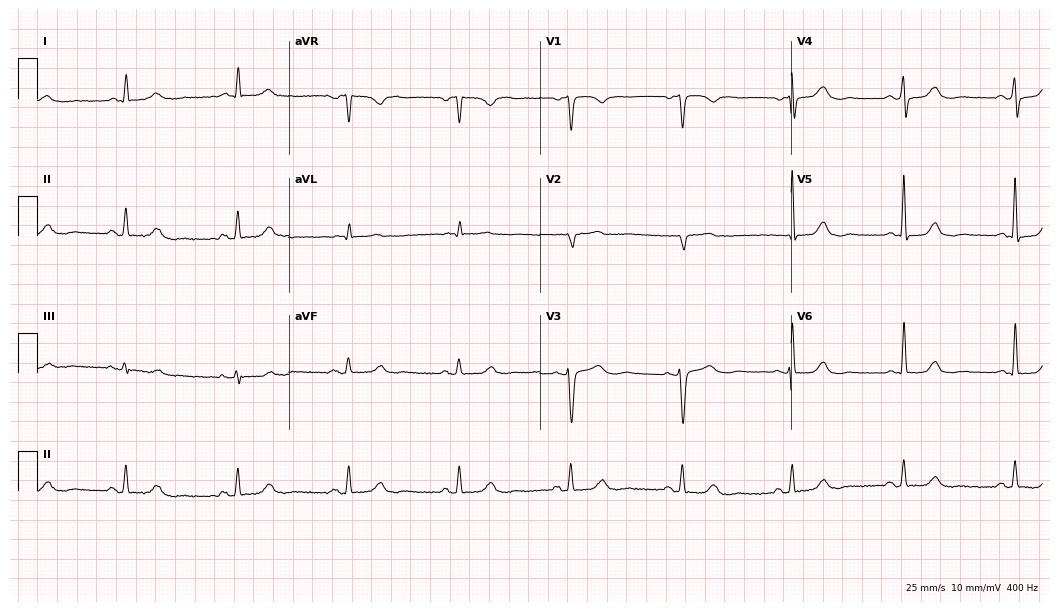
Electrocardiogram (10.2-second recording at 400 Hz), a female, 70 years old. Overall reading on record: normal ECG.